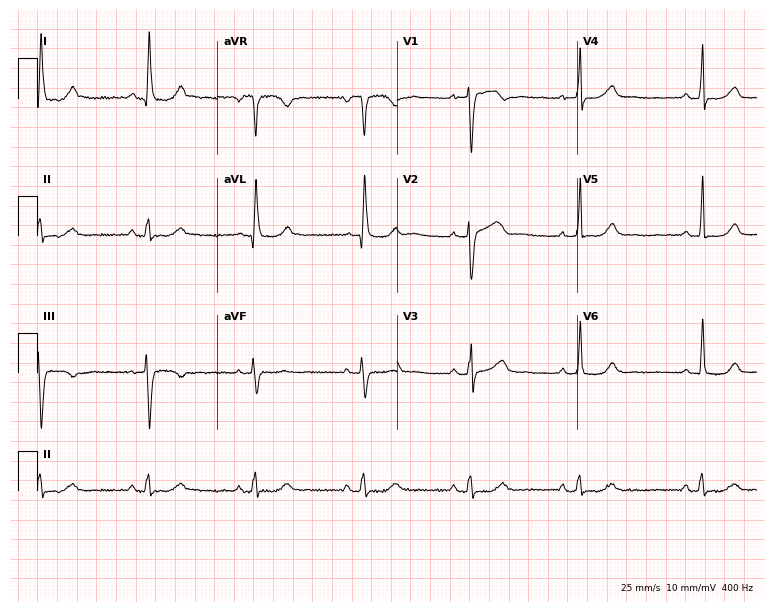
Electrocardiogram (7.3-second recording at 400 Hz), a female patient, 62 years old. Overall reading on record: normal ECG.